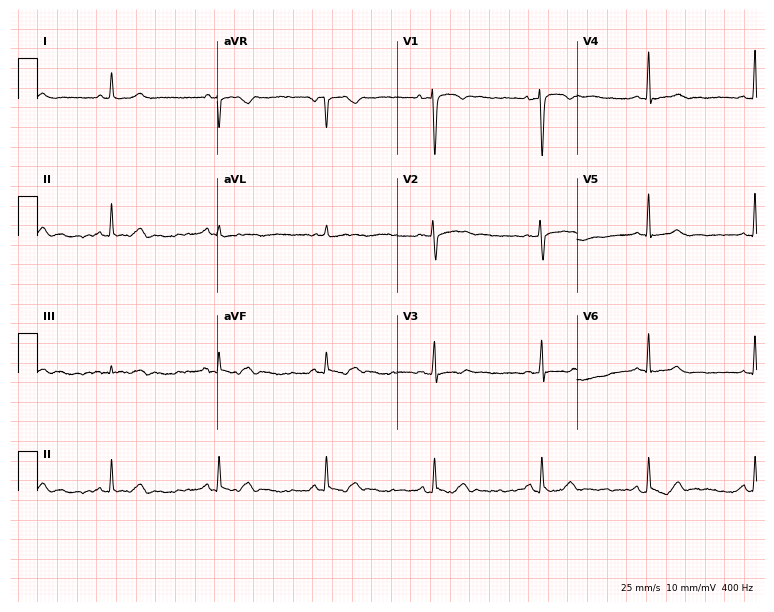
Resting 12-lead electrocardiogram. Patient: a 40-year-old woman. None of these six findings is recorded: first-degree AV block, right bundle branch block, left bundle branch block, sinus bradycardia, atrial fibrillation, sinus tachycardia.